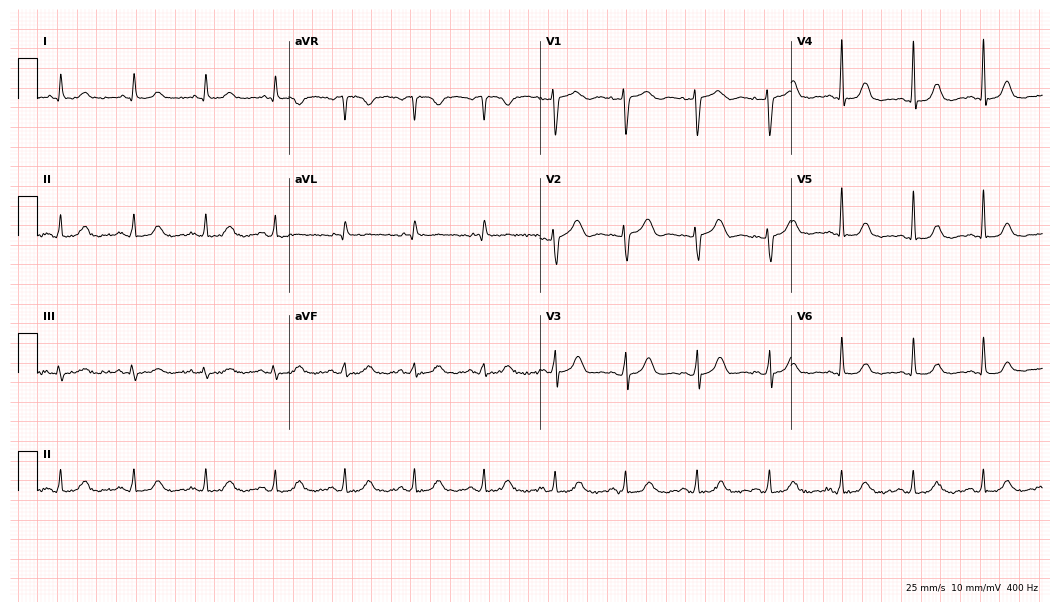
12-lead ECG from a 60-year-old woman. Labelled as a normal ECG.